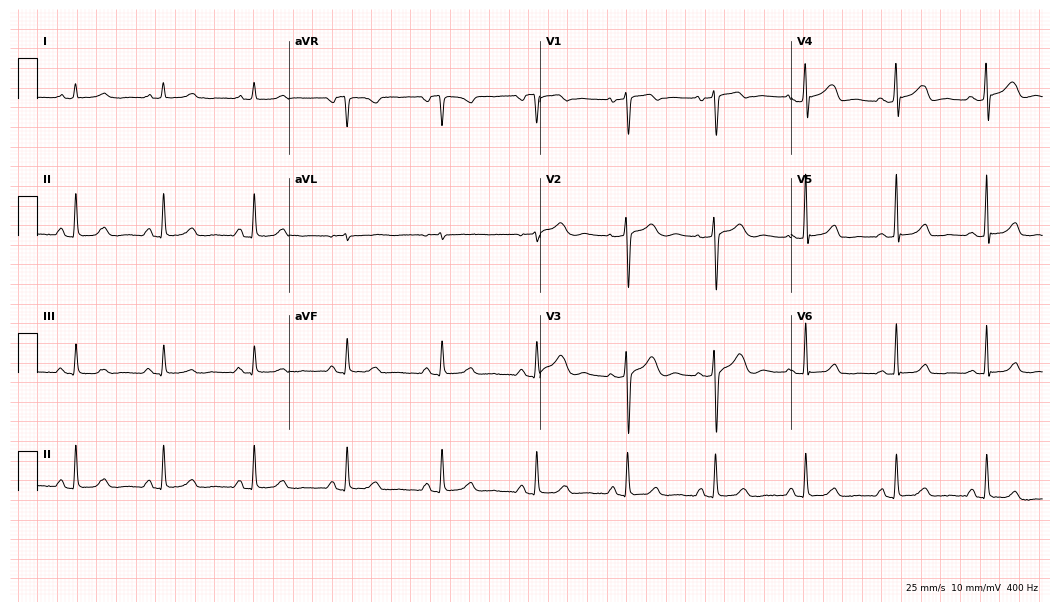
ECG (10.2-second recording at 400 Hz) — a female, 51 years old. Labelled as a normal ECG.